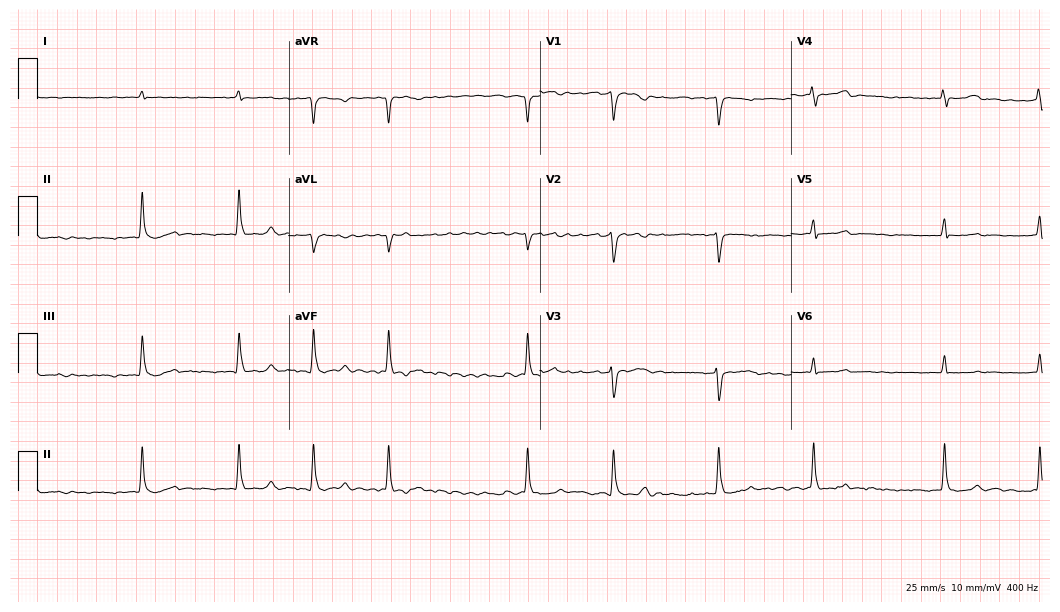
12-lead ECG from a 57-year-old male patient. Findings include atrial fibrillation.